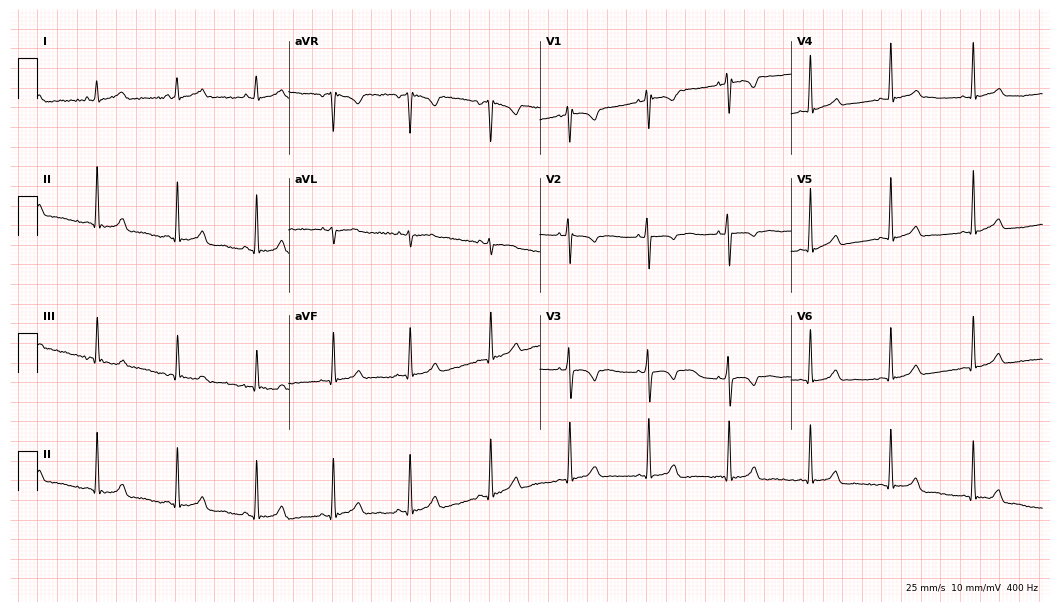
Resting 12-lead electrocardiogram. Patient: a 24-year-old female. Read as a normal ECG.